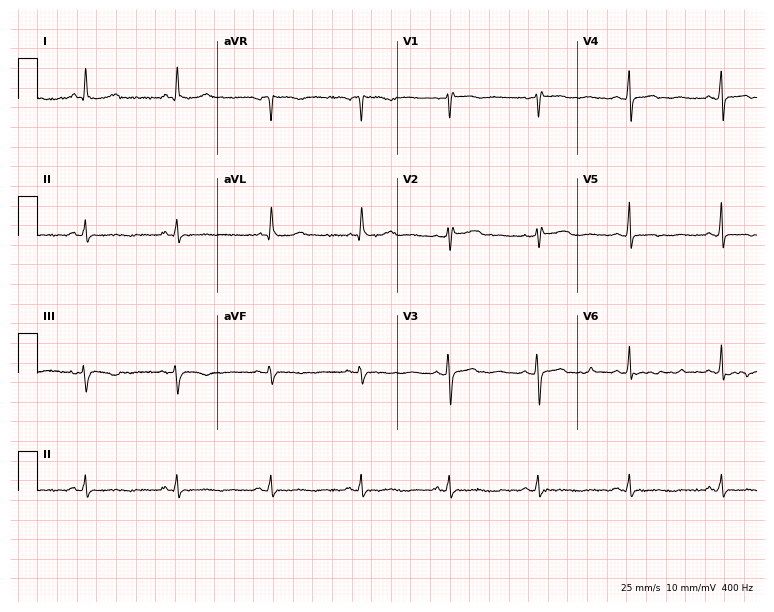
Resting 12-lead electrocardiogram (7.3-second recording at 400 Hz). Patient: a woman, 57 years old. None of these six findings is recorded: first-degree AV block, right bundle branch block, left bundle branch block, sinus bradycardia, atrial fibrillation, sinus tachycardia. Only these six findings were labelled.